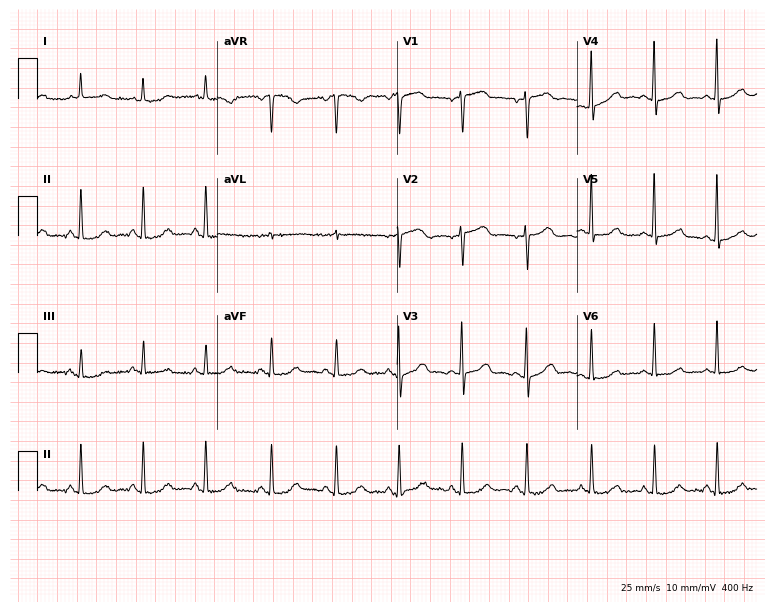
ECG — a woman, 58 years old. Screened for six findings — first-degree AV block, right bundle branch block (RBBB), left bundle branch block (LBBB), sinus bradycardia, atrial fibrillation (AF), sinus tachycardia — none is recorded.